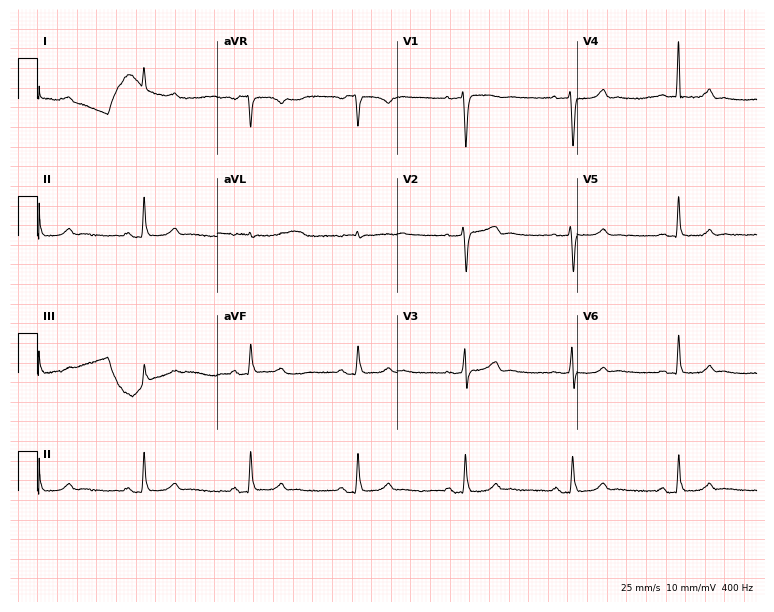
Electrocardiogram, a 70-year-old female. Overall reading on record: normal ECG.